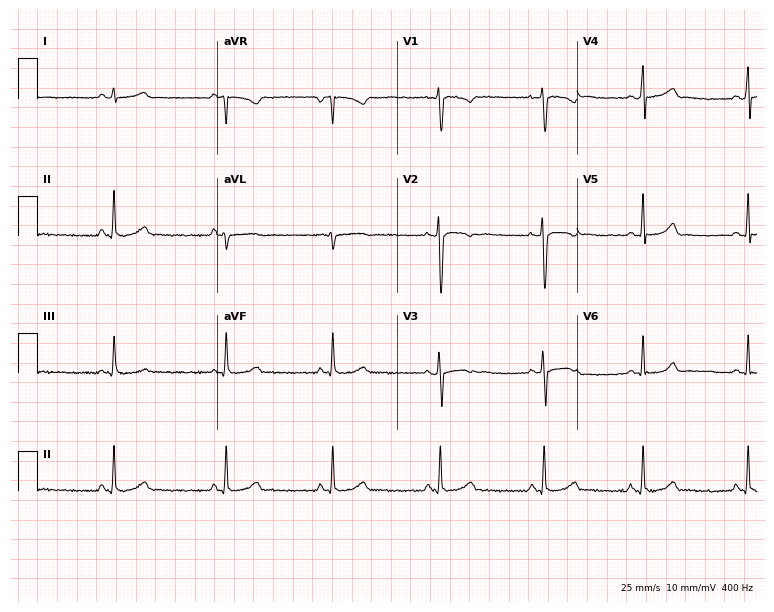
Standard 12-lead ECG recorded from a 19-year-old female patient (7.3-second recording at 400 Hz). Read as a normal ECG.